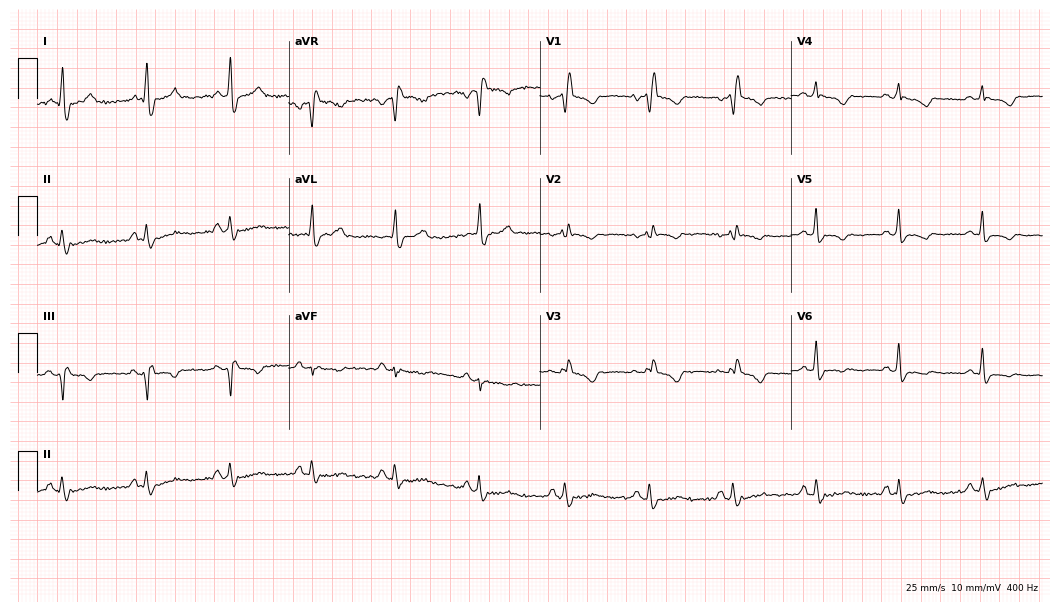
ECG — a female, 60 years old. Findings include right bundle branch block.